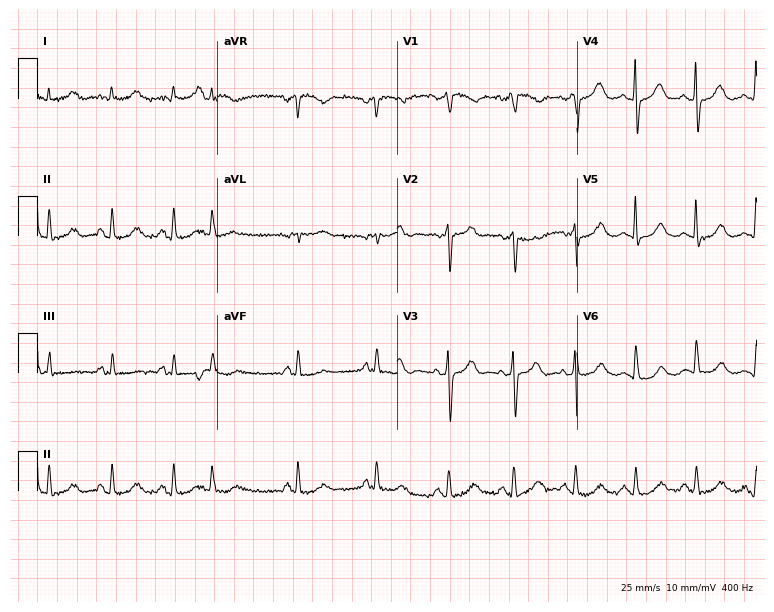
12-lead ECG from a woman, 67 years old. Screened for six findings — first-degree AV block, right bundle branch block (RBBB), left bundle branch block (LBBB), sinus bradycardia, atrial fibrillation (AF), sinus tachycardia — none is recorded.